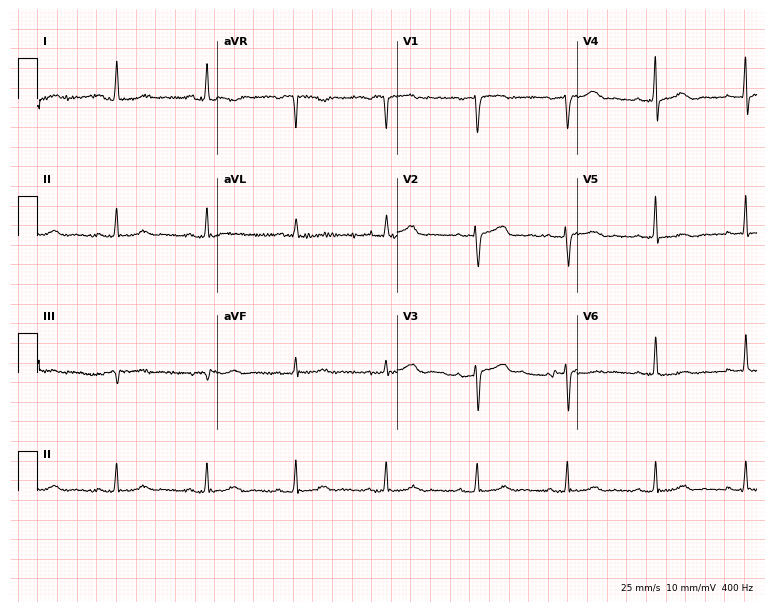
12-lead ECG (7.3-second recording at 400 Hz) from a 51-year-old female patient. Labelled as a normal ECG.